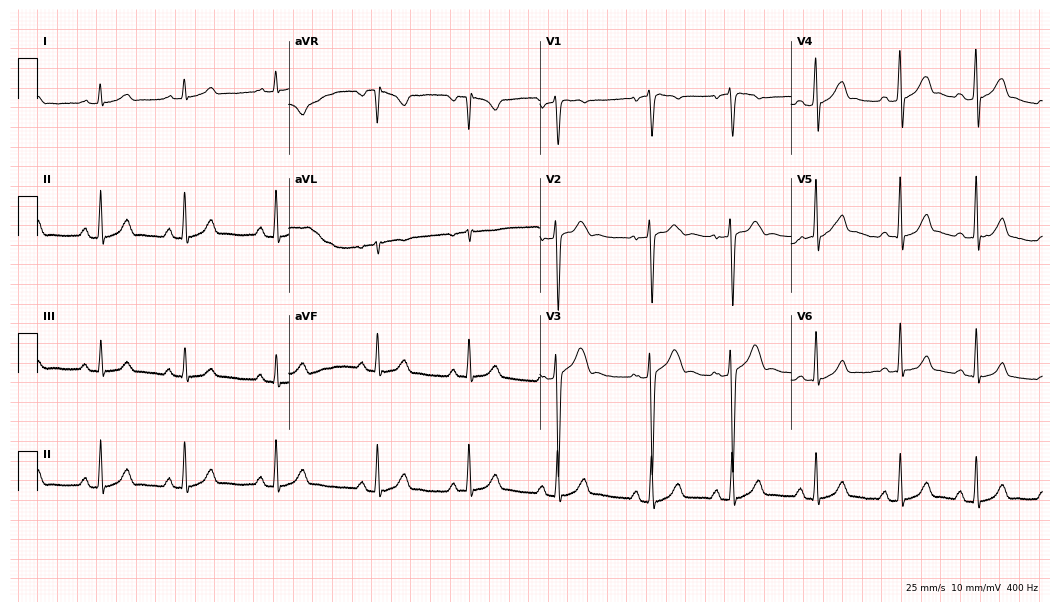
Electrocardiogram, an 18-year-old man. Overall reading on record: normal ECG.